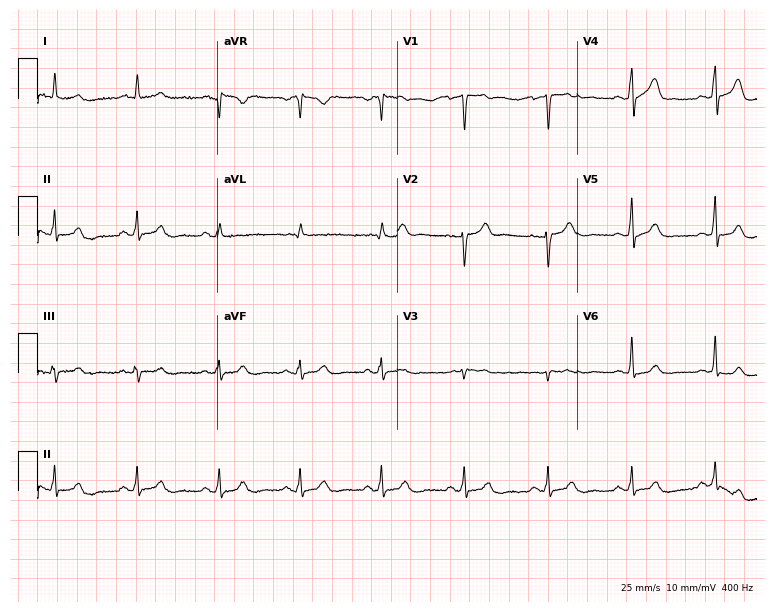
12-lead ECG (7.3-second recording at 400 Hz) from a 32-year-old male. Labelled as a normal ECG.